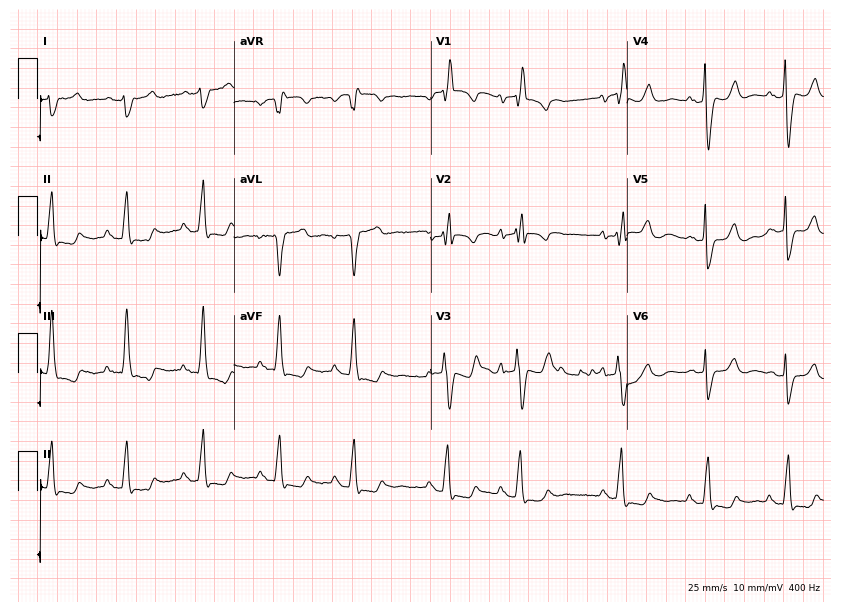
12-lead ECG from a 79-year-old female. No first-degree AV block, right bundle branch block, left bundle branch block, sinus bradycardia, atrial fibrillation or sinus tachycardia recorded for this tracing.